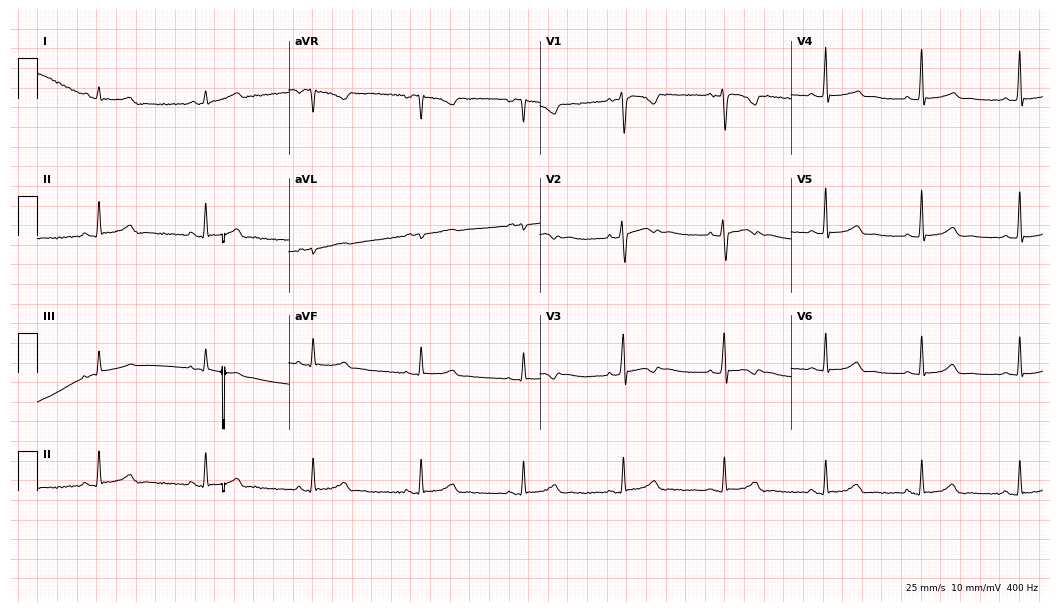
Electrocardiogram (10.2-second recording at 400 Hz), a female, 28 years old. Of the six screened findings (first-degree AV block, right bundle branch block, left bundle branch block, sinus bradycardia, atrial fibrillation, sinus tachycardia), none is recorded. Only these six findings were labelled.